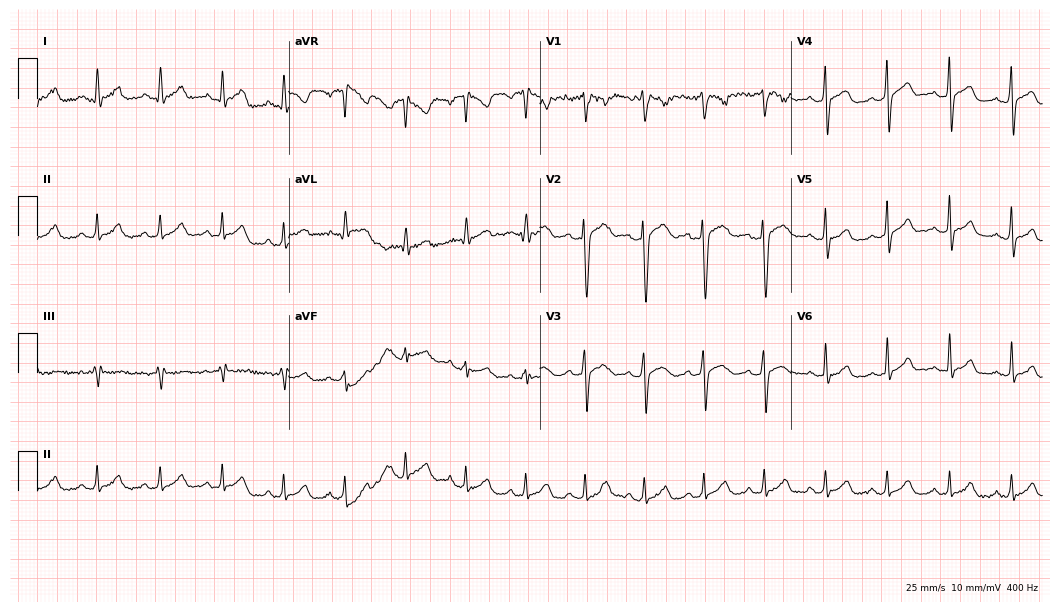
Electrocardiogram, a male patient, 25 years old. Overall reading on record: normal ECG.